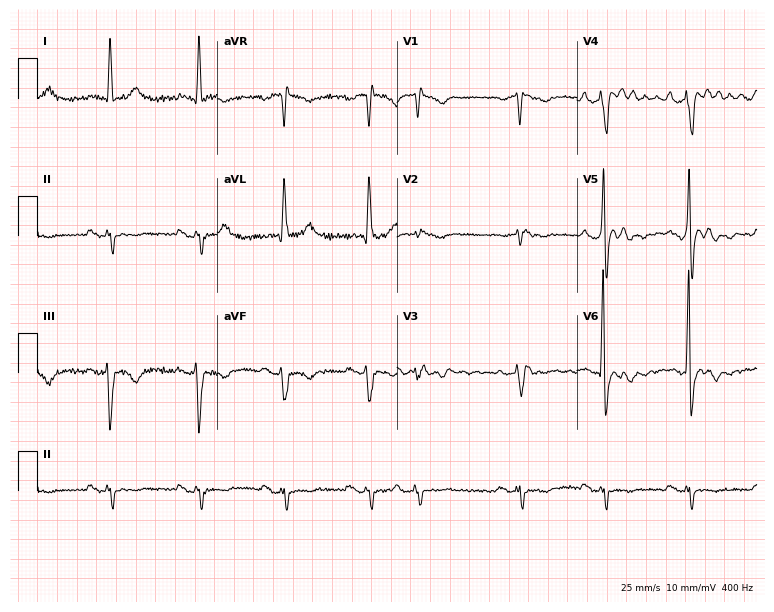
Resting 12-lead electrocardiogram. Patient: a 74-year-old man. None of these six findings is recorded: first-degree AV block, right bundle branch block, left bundle branch block, sinus bradycardia, atrial fibrillation, sinus tachycardia.